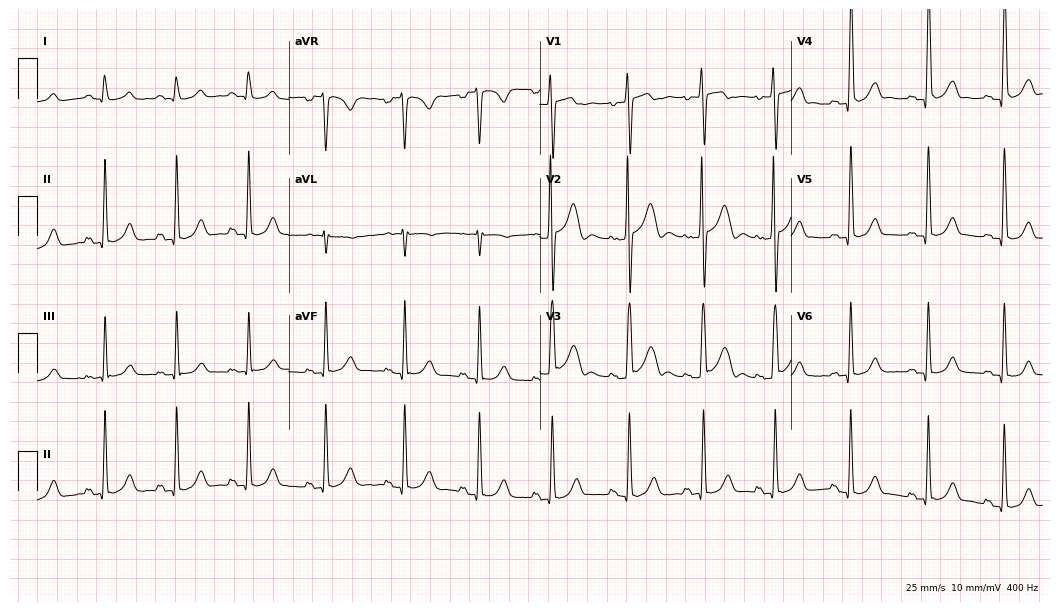
Standard 12-lead ECG recorded from a 24-year-old female patient. Read as a normal ECG.